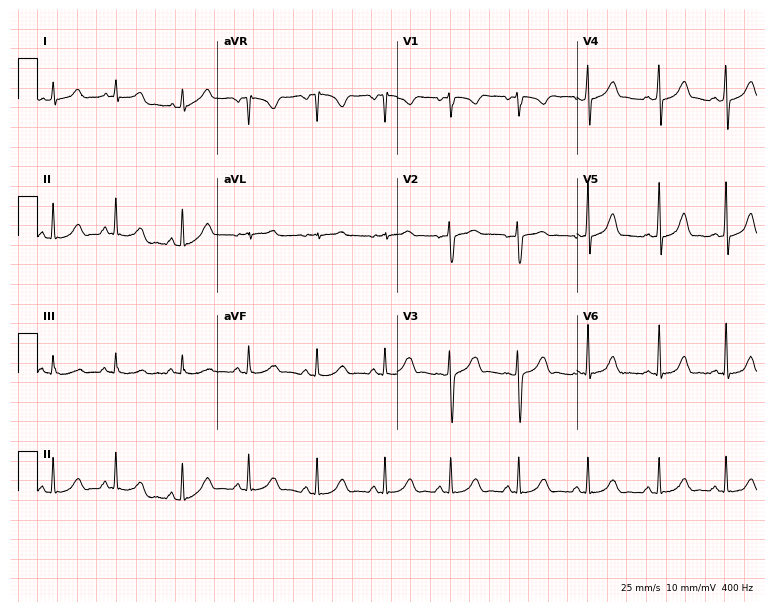
12-lead ECG from a 19-year-old female (7.3-second recording at 400 Hz). No first-degree AV block, right bundle branch block (RBBB), left bundle branch block (LBBB), sinus bradycardia, atrial fibrillation (AF) or sinus tachycardia recorded for this tracing. Only these six findings were labelled.